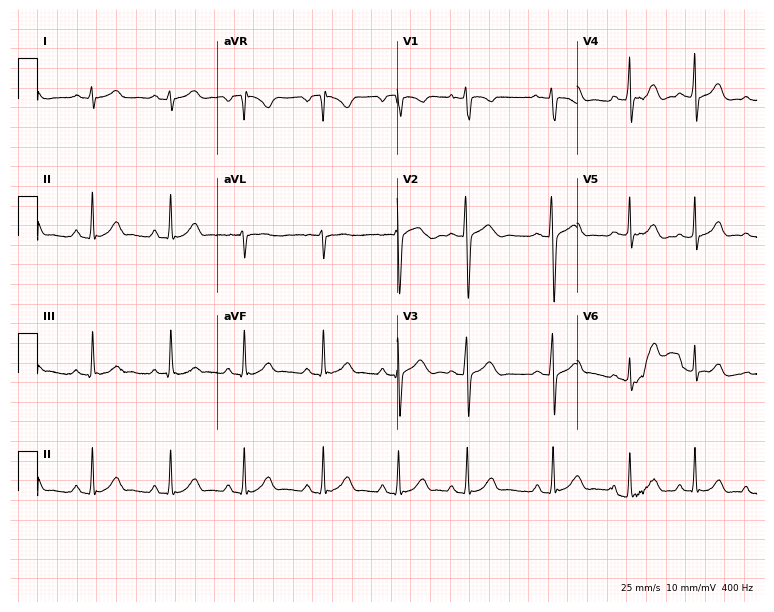
Standard 12-lead ECG recorded from a woman, 21 years old (7.3-second recording at 400 Hz). None of these six findings is recorded: first-degree AV block, right bundle branch block, left bundle branch block, sinus bradycardia, atrial fibrillation, sinus tachycardia. Findings outside these six are not listed.